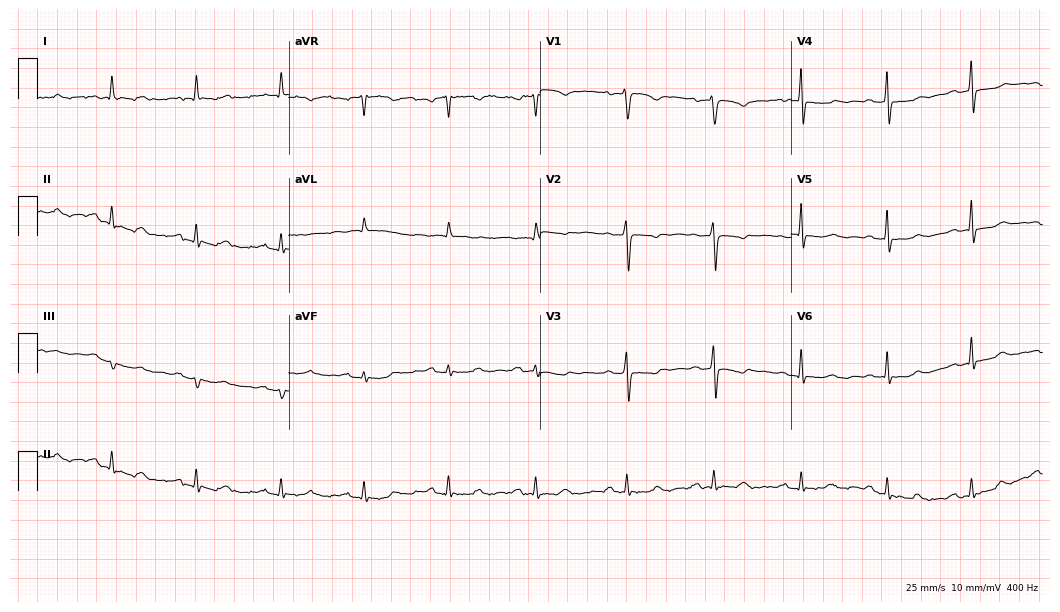
12-lead ECG (10.2-second recording at 400 Hz) from a 58-year-old female patient. Screened for six findings — first-degree AV block, right bundle branch block, left bundle branch block, sinus bradycardia, atrial fibrillation, sinus tachycardia — none is recorded.